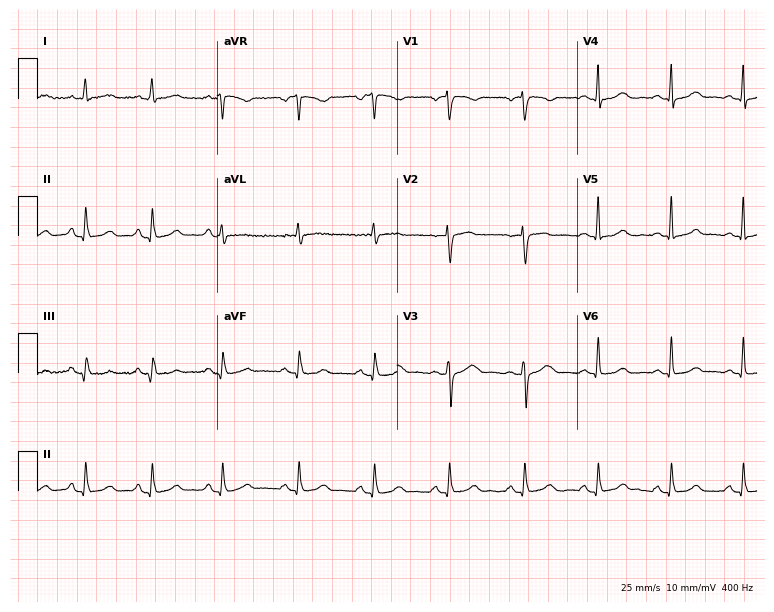
Standard 12-lead ECG recorded from a woman, 62 years old (7.3-second recording at 400 Hz). Read as a normal ECG.